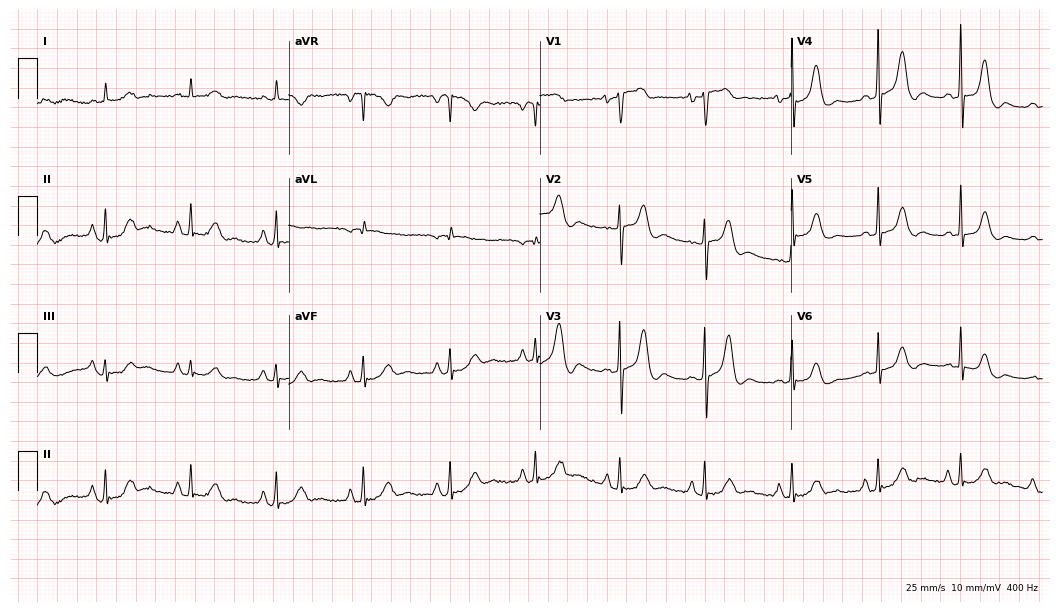
12-lead ECG from a female, 73 years old. No first-degree AV block, right bundle branch block, left bundle branch block, sinus bradycardia, atrial fibrillation or sinus tachycardia recorded for this tracing.